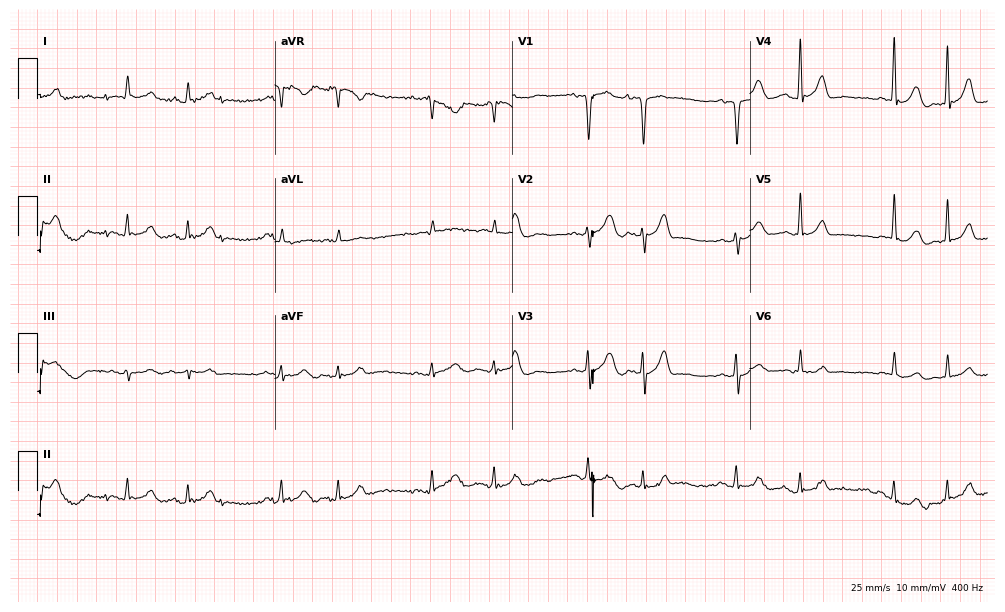
Resting 12-lead electrocardiogram. Patient: an 84-year-old male. None of these six findings is recorded: first-degree AV block, right bundle branch block, left bundle branch block, sinus bradycardia, atrial fibrillation, sinus tachycardia. Only these six findings were labelled.